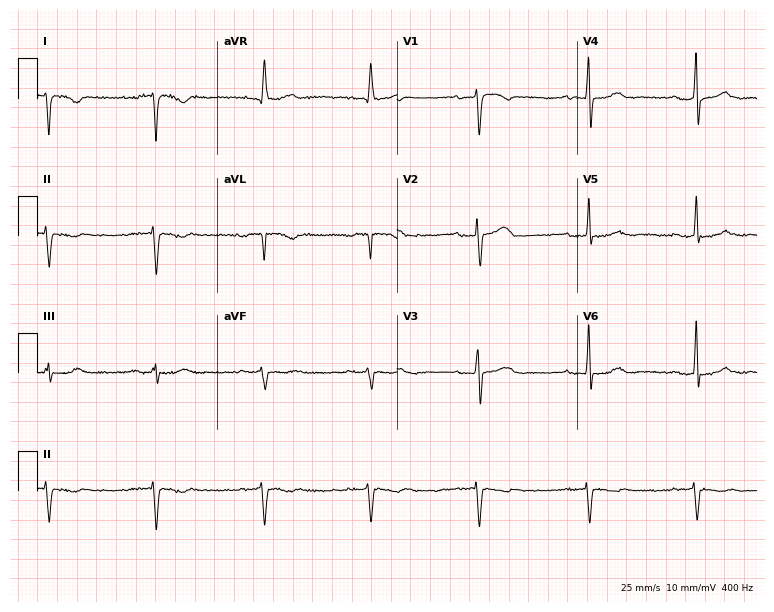
12-lead ECG (7.3-second recording at 400 Hz) from a 78-year-old male patient. Screened for six findings — first-degree AV block, right bundle branch block, left bundle branch block, sinus bradycardia, atrial fibrillation, sinus tachycardia — none is recorded. Only these six findings were labelled.